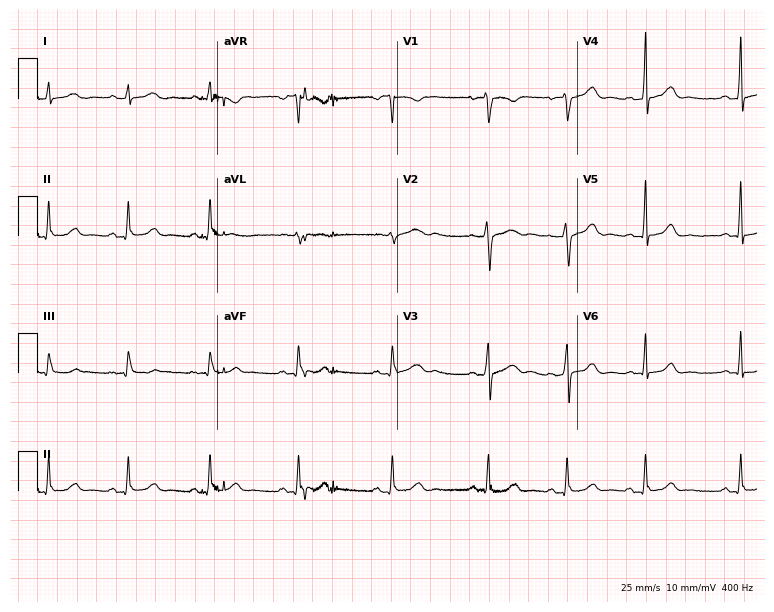
ECG (7.3-second recording at 400 Hz) — a 28-year-old female. Labelled as a normal ECG.